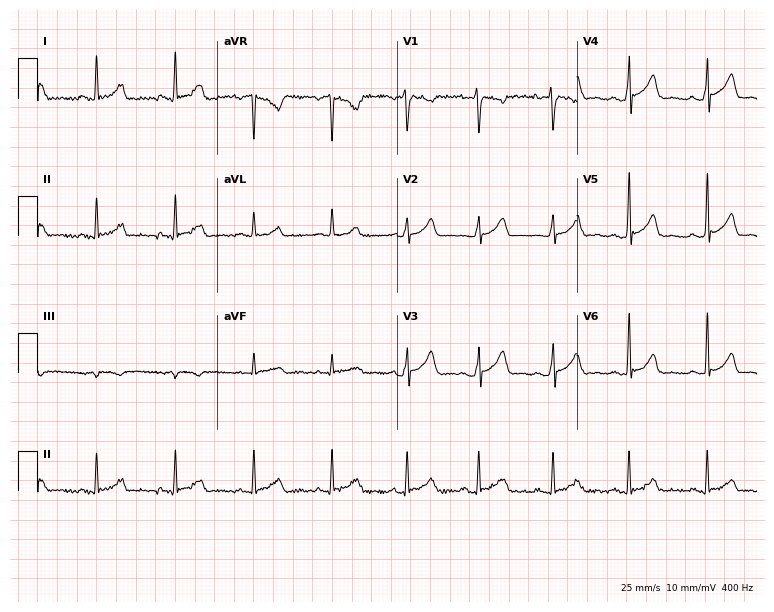
Electrocardiogram (7.3-second recording at 400 Hz), a female, 23 years old. Of the six screened findings (first-degree AV block, right bundle branch block, left bundle branch block, sinus bradycardia, atrial fibrillation, sinus tachycardia), none is recorded. Other findings, if any, are not listed.